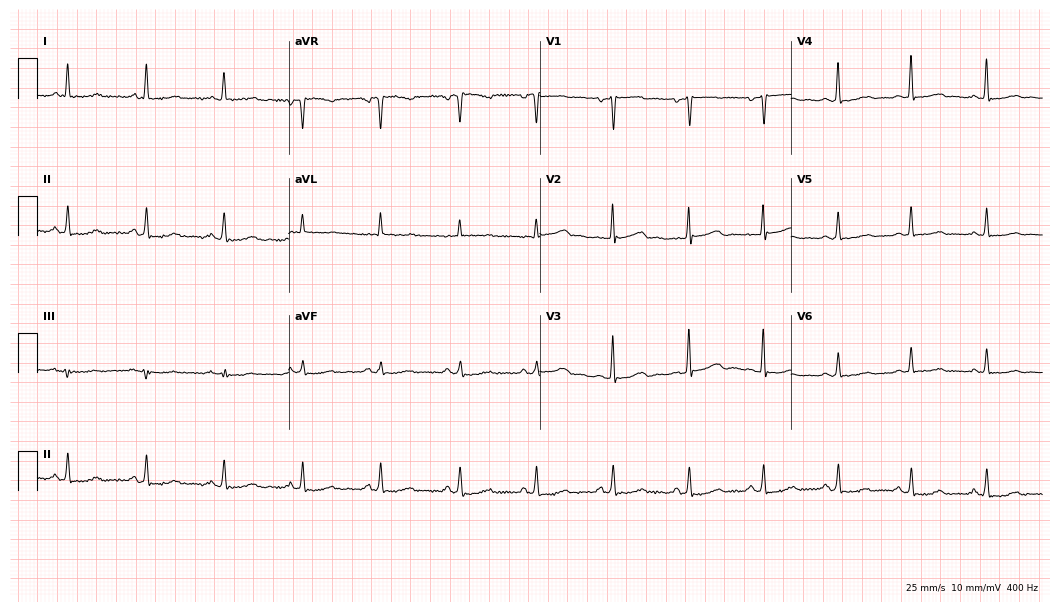
12-lead ECG from a 51-year-old female patient. Screened for six findings — first-degree AV block, right bundle branch block, left bundle branch block, sinus bradycardia, atrial fibrillation, sinus tachycardia — none is recorded. Findings outside these six are not listed.